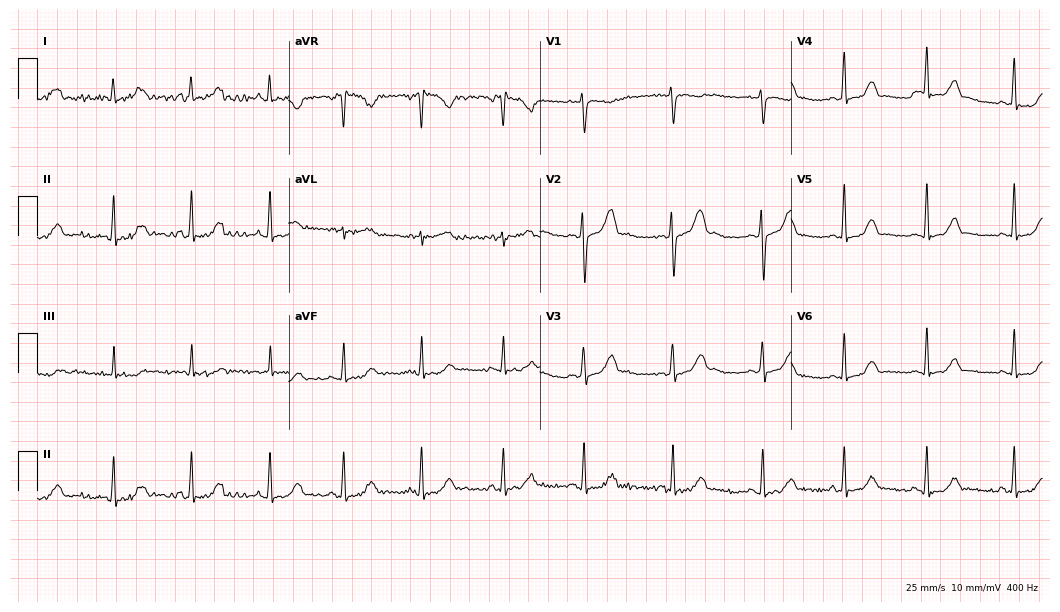
Resting 12-lead electrocardiogram. Patient: a woman, 29 years old. Read as a normal ECG.